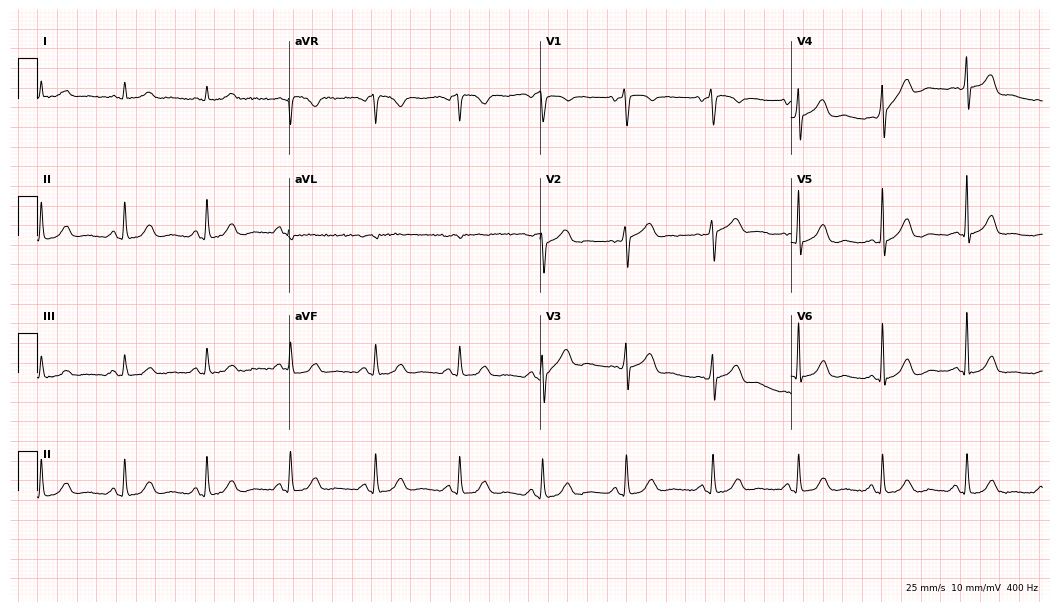
Standard 12-lead ECG recorded from an 81-year-old woman (10.2-second recording at 400 Hz). Read as a normal ECG.